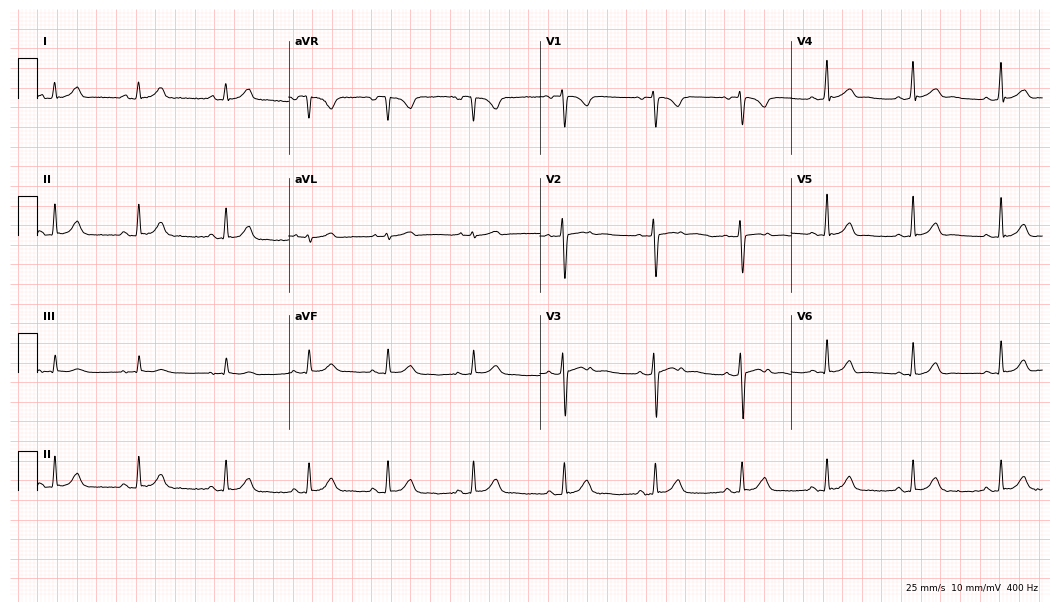
ECG — a 24-year-old female patient. Labelled as a normal ECG.